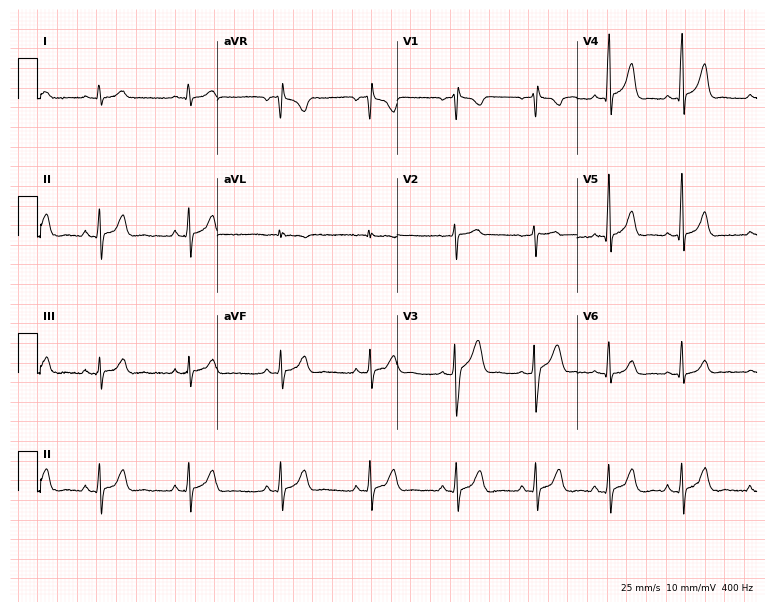
12-lead ECG from a male patient, 40 years old. No first-degree AV block, right bundle branch block, left bundle branch block, sinus bradycardia, atrial fibrillation or sinus tachycardia recorded for this tracing.